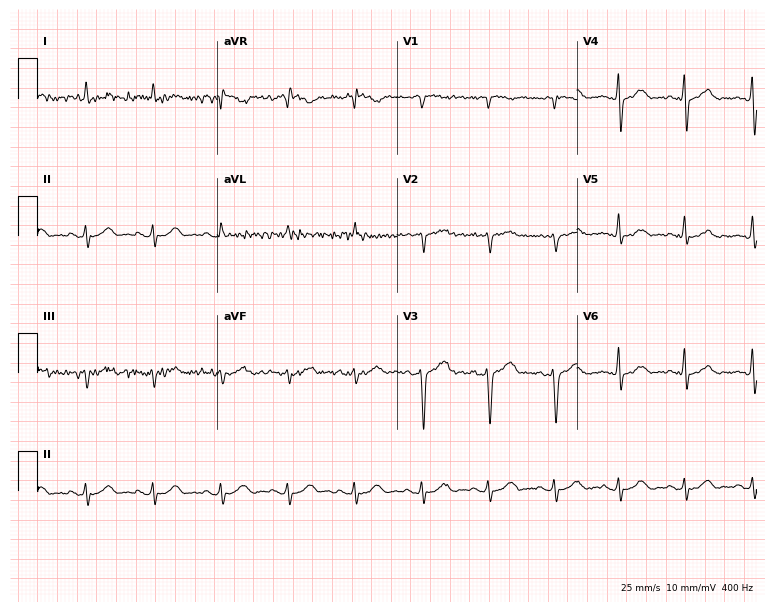
ECG — a 73-year-old male. Screened for six findings — first-degree AV block, right bundle branch block, left bundle branch block, sinus bradycardia, atrial fibrillation, sinus tachycardia — none is recorded. Findings outside these six are not listed.